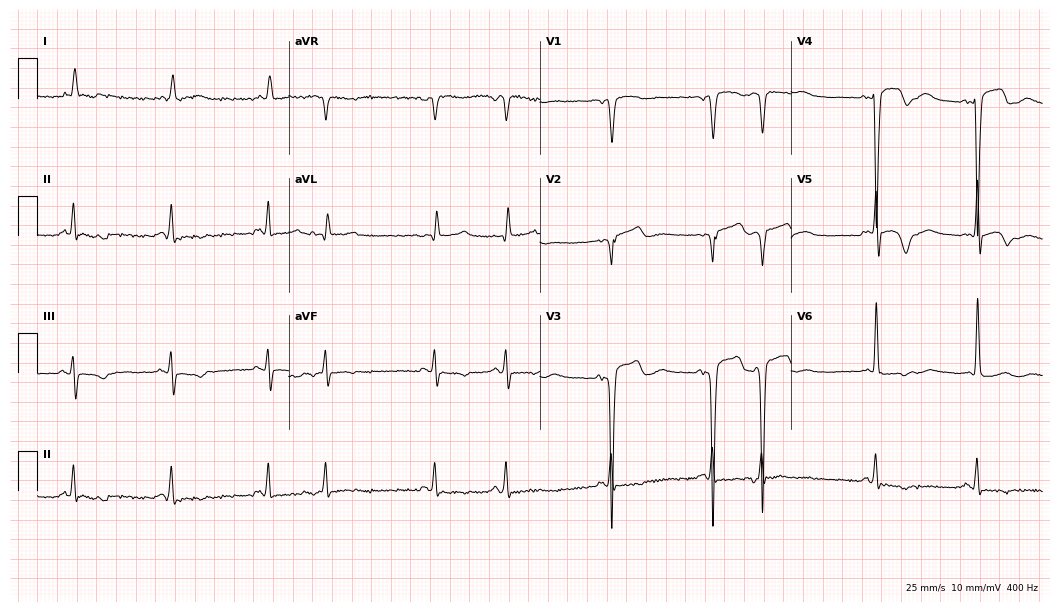
12-lead ECG (10.2-second recording at 400 Hz) from an 84-year-old male patient. Screened for six findings — first-degree AV block, right bundle branch block (RBBB), left bundle branch block (LBBB), sinus bradycardia, atrial fibrillation (AF), sinus tachycardia — none is recorded.